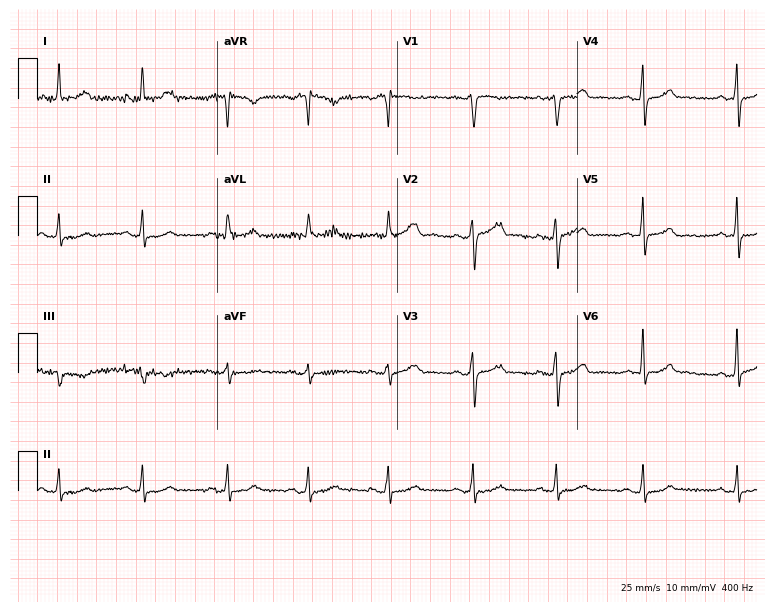
12-lead ECG from a female, 42 years old (7.3-second recording at 400 Hz). Recorded interpretation: within normal limits.